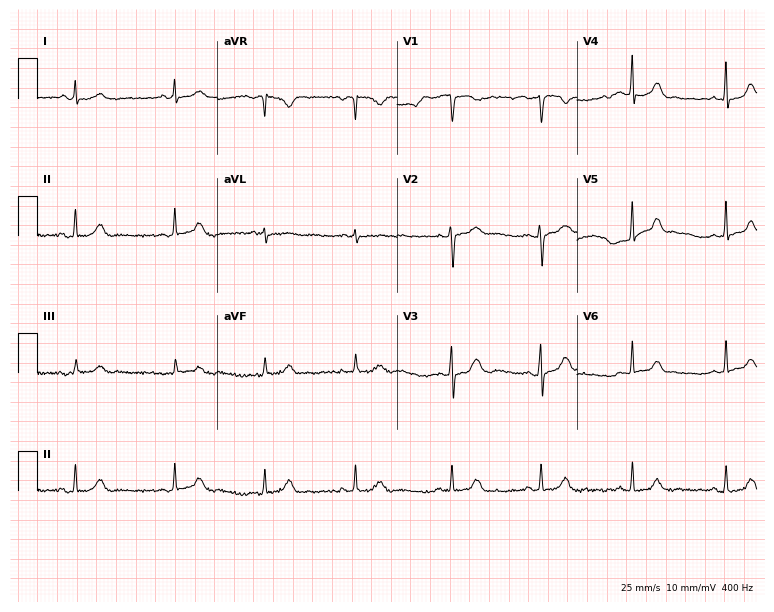
Standard 12-lead ECG recorded from a 20-year-old female. Read as a normal ECG.